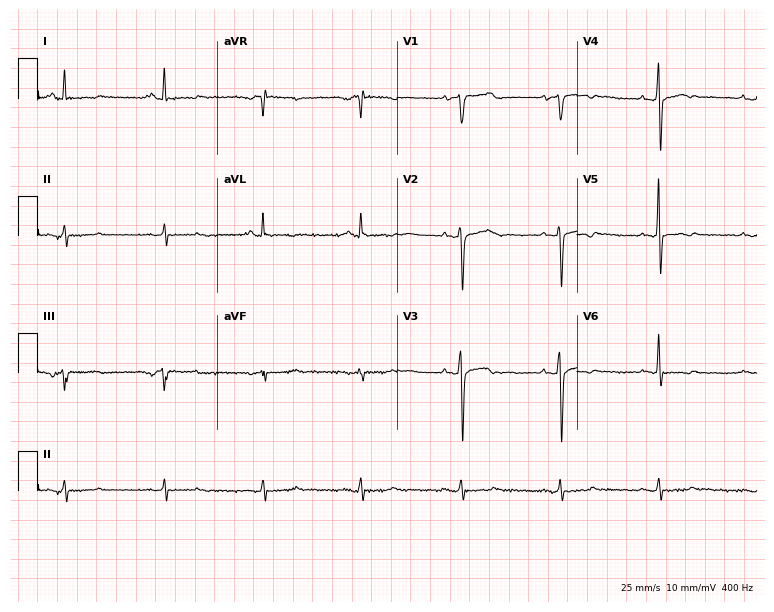
12-lead ECG from a 62-year-old man. Screened for six findings — first-degree AV block, right bundle branch block, left bundle branch block, sinus bradycardia, atrial fibrillation, sinus tachycardia — none is recorded. Only these six findings were labelled.